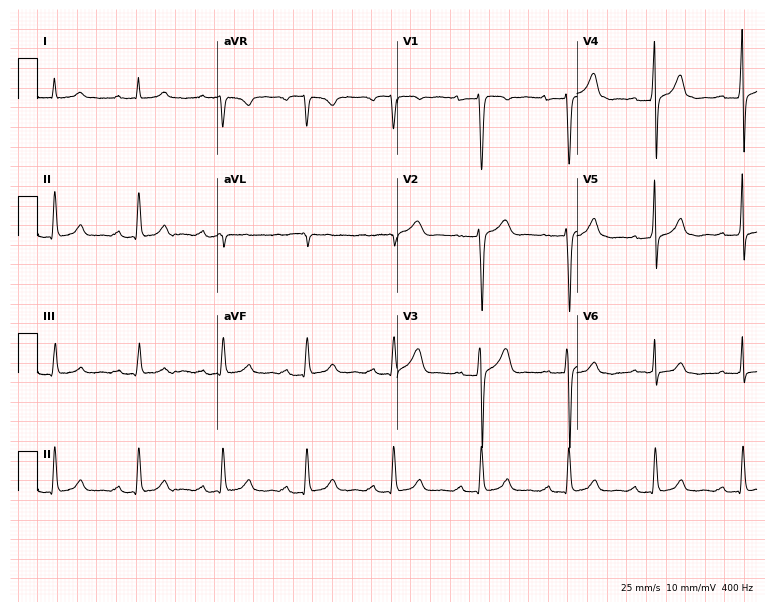
Resting 12-lead electrocardiogram. Patient: a male, 85 years old. Read as a normal ECG.